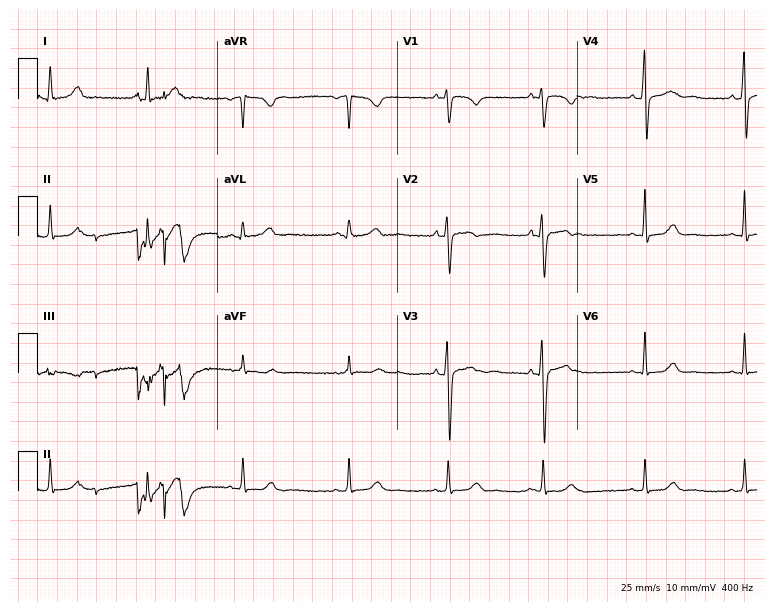
Electrocardiogram (7.3-second recording at 400 Hz), a female, 22 years old. Overall reading on record: normal ECG.